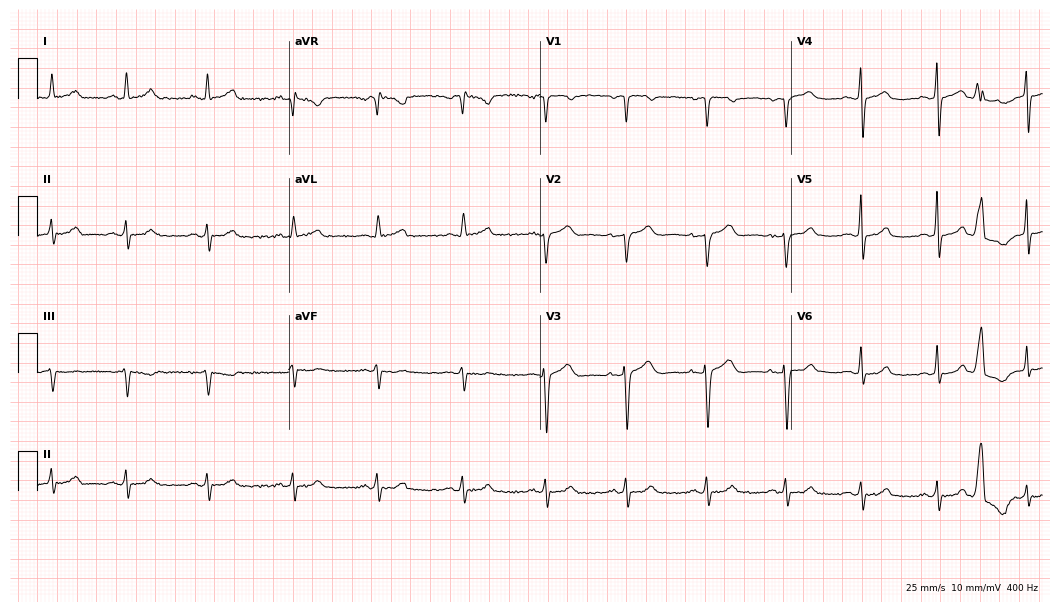
ECG (10.2-second recording at 400 Hz) — a 50-year-old woman. Screened for six findings — first-degree AV block, right bundle branch block (RBBB), left bundle branch block (LBBB), sinus bradycardia, atrial fibrillation (AF), sinus tachycardia — none is recorded. Only these six findings were labelled.